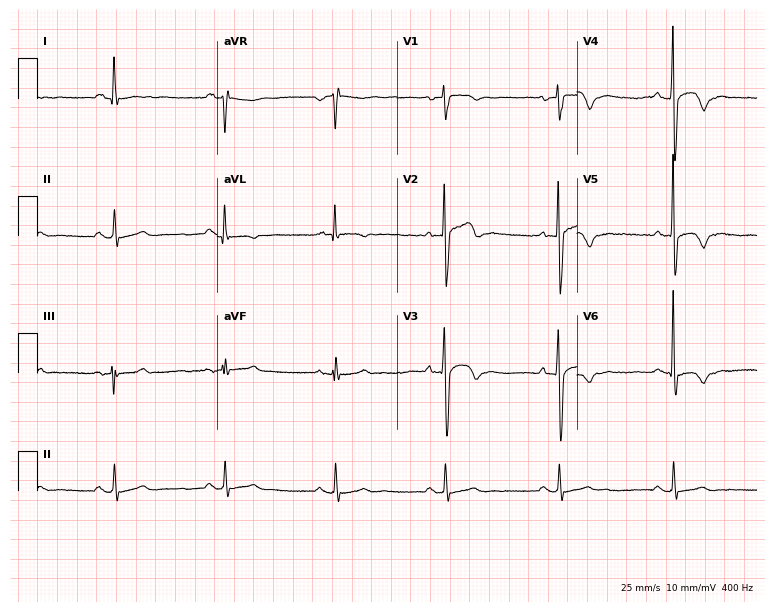
ECG — a 54-year-old man. Screened for six findings — first-degree AV block, right bundle branch block (RBBB), left bundle branch block (LBBB), sinus bradycardia, atrial fibrillation (AF), sinus tachycardia — none is recorded. Findings outside these six are not listed.